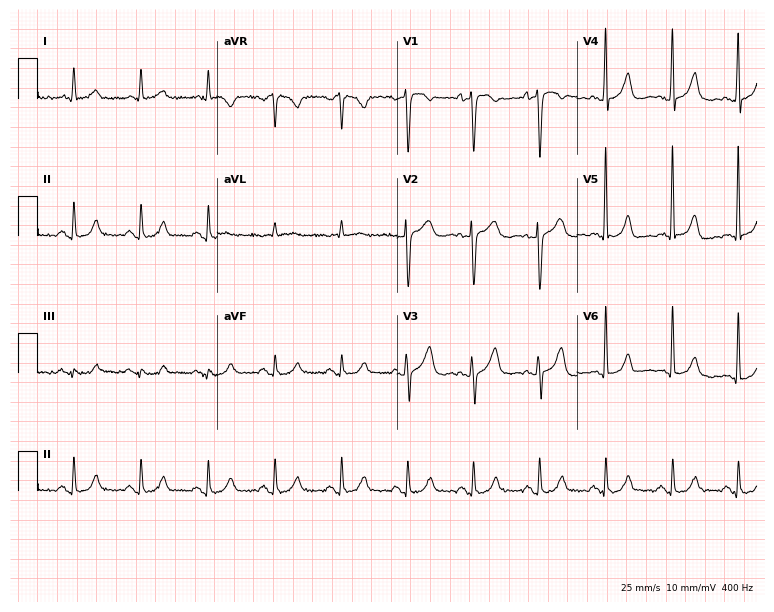
12-lead ECG from a man, 71 years old (7.3-second recording at 400 Hz). Recorded interpretation: within normal limits.